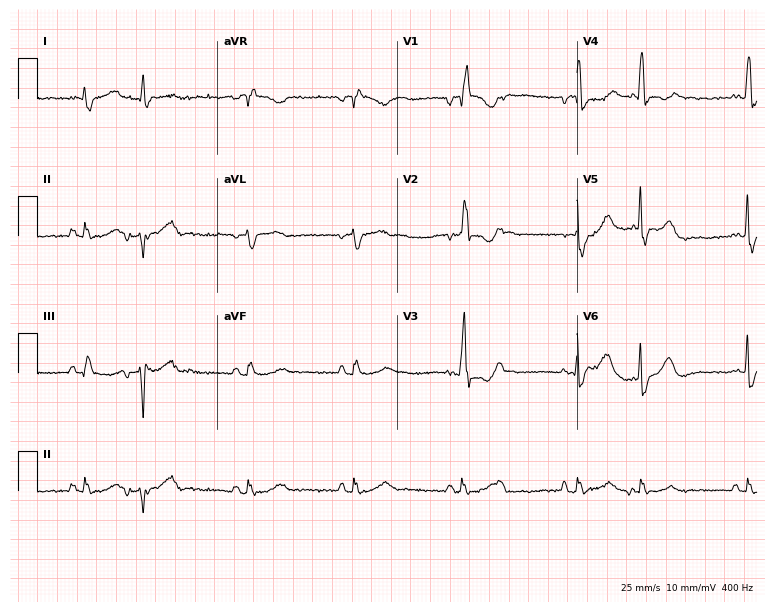
12-lead ECG (7.3-second recording at 400 Hz) from a man, 83 years old. Findings include right bundle branch block.